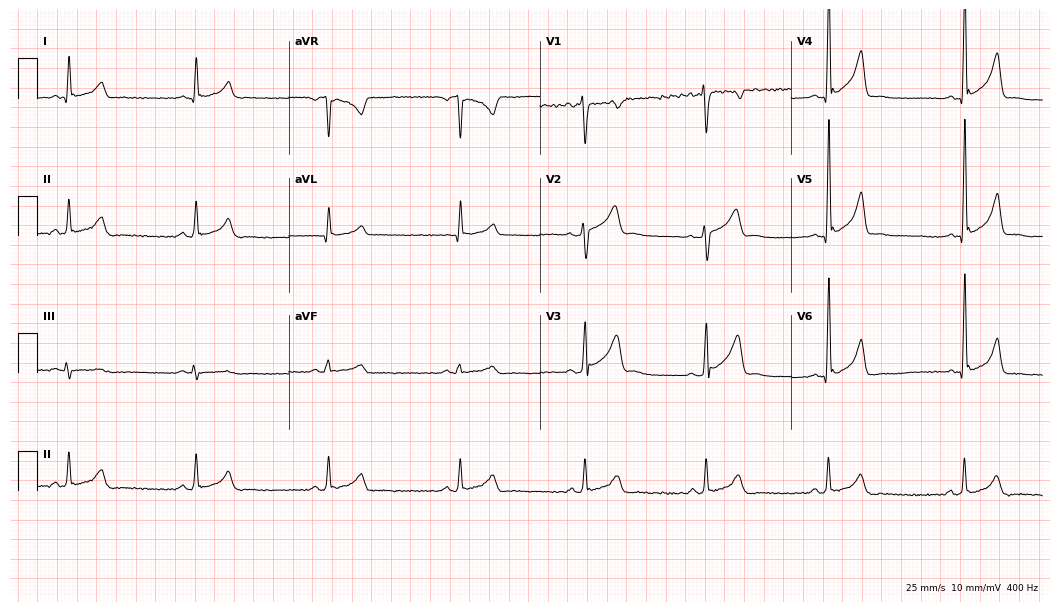
12-lead ECG from a female patient, 40 years old (10.2-second recording at 400 Hz). No first-degree AV block, right bundle branch block, left bundle branch block, sinus bradycardia, atrial fibrillation or sinus tachycardia recorded for this tracing.